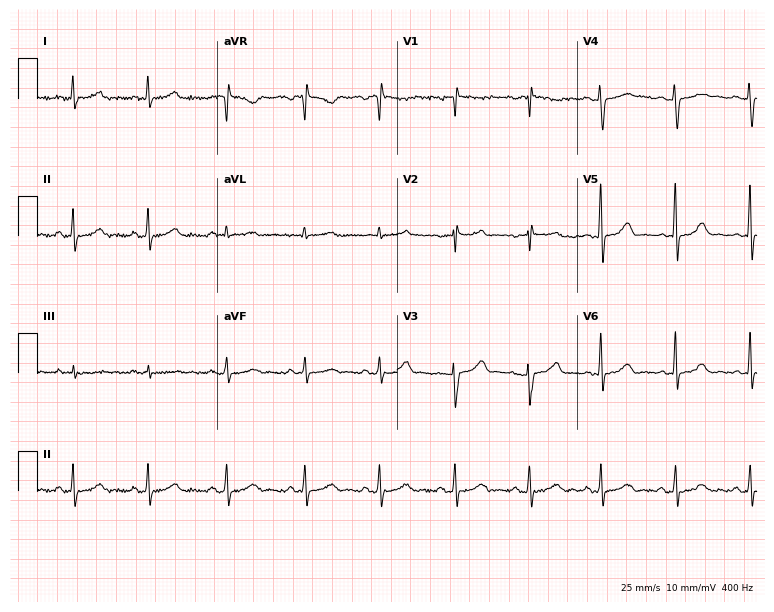
Electrocardiogram (7.3-second recording at 400 Hz), a female, 25 years old. Overall reading on record: normal ECG.